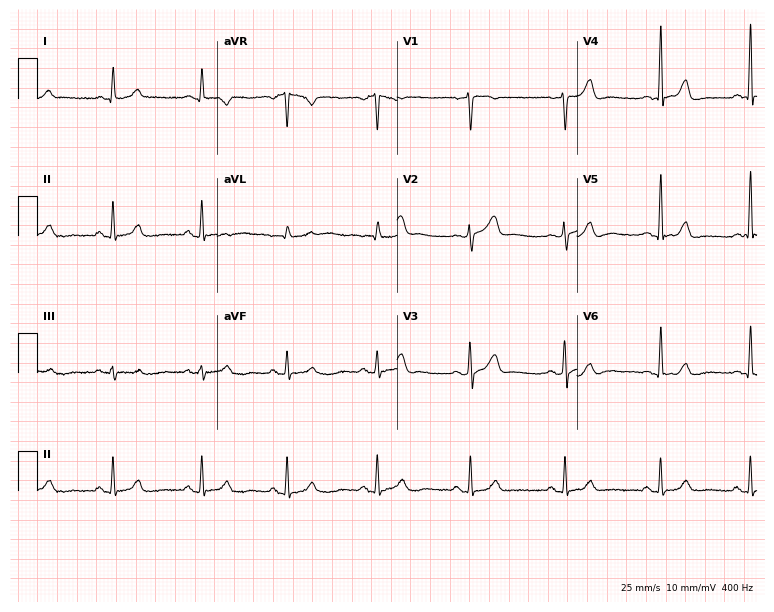
12-lead ECG from a 48-year-old female (7.3-second recording at 400 Hz). No first-degree AV block, right bundle branch block, left bundle branch block, sinus bradycardia, atrial fibrillation or sinus tachycardia recorded for this tracing. Findings outside these six are not listed.